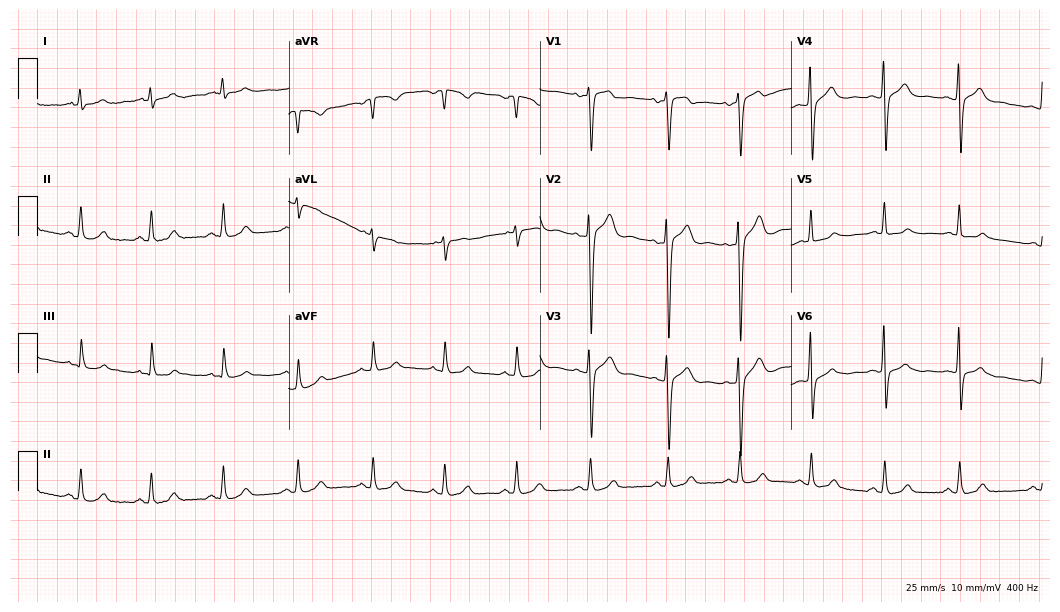
12-lead ECG from a female patient, 32 years old (10.2-second recording at 400 Hz). Recorded interpretation: within normal limits.